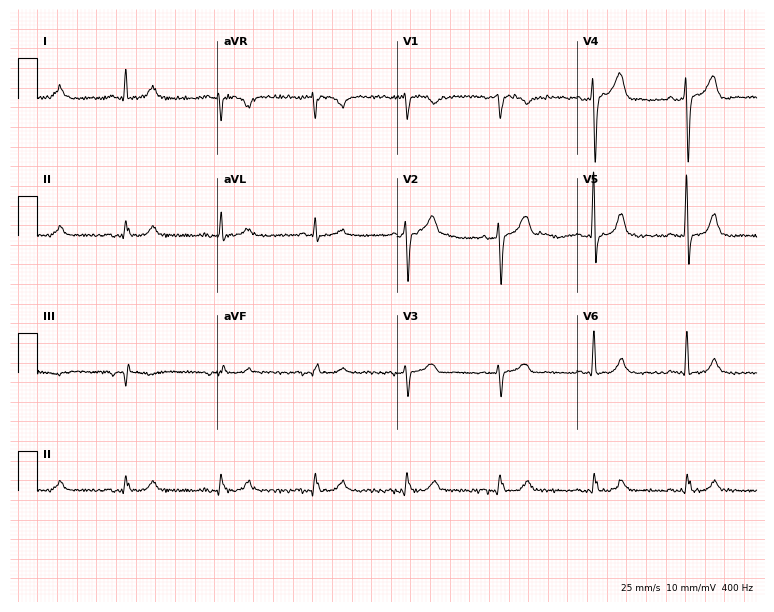
ECG (7.3-second recording at 400 Hz) — a 62-year-old male patient. Labelled as a normal ECG.